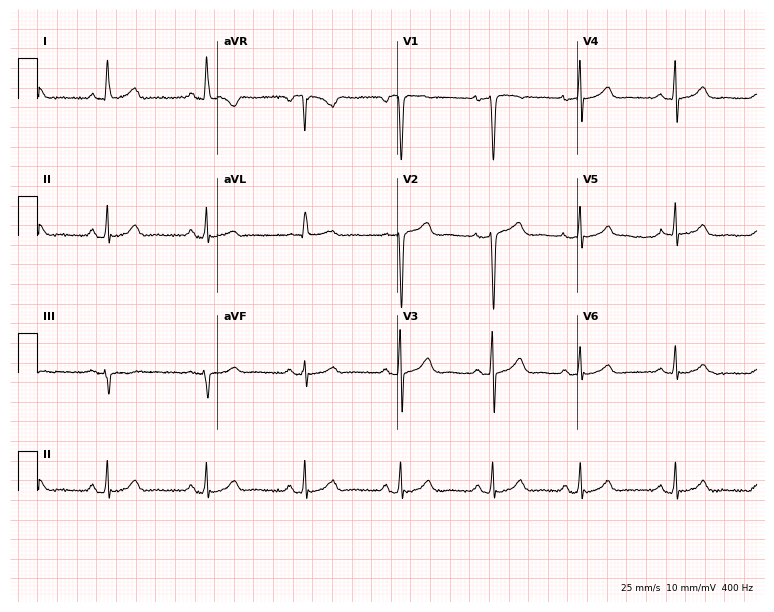
Resting 12-lead electrocardiogram (7.3-second recording at 400 Hz). Patient: a 74-year-old female. Read as a normal ECG.